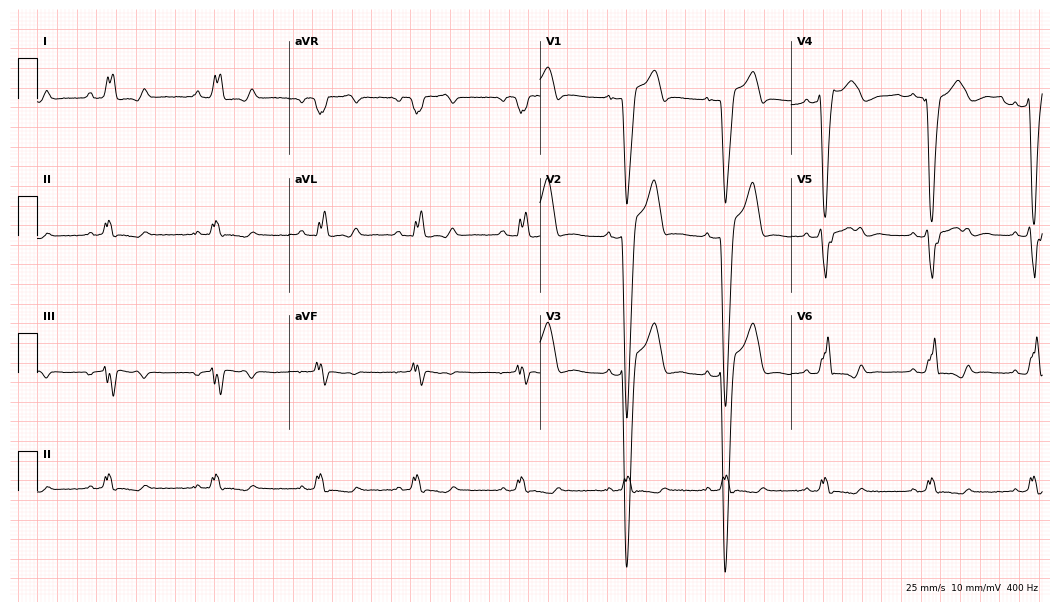
Electrocardiogram, a 35-year-old male. Interpretation includes left bundle branch block.